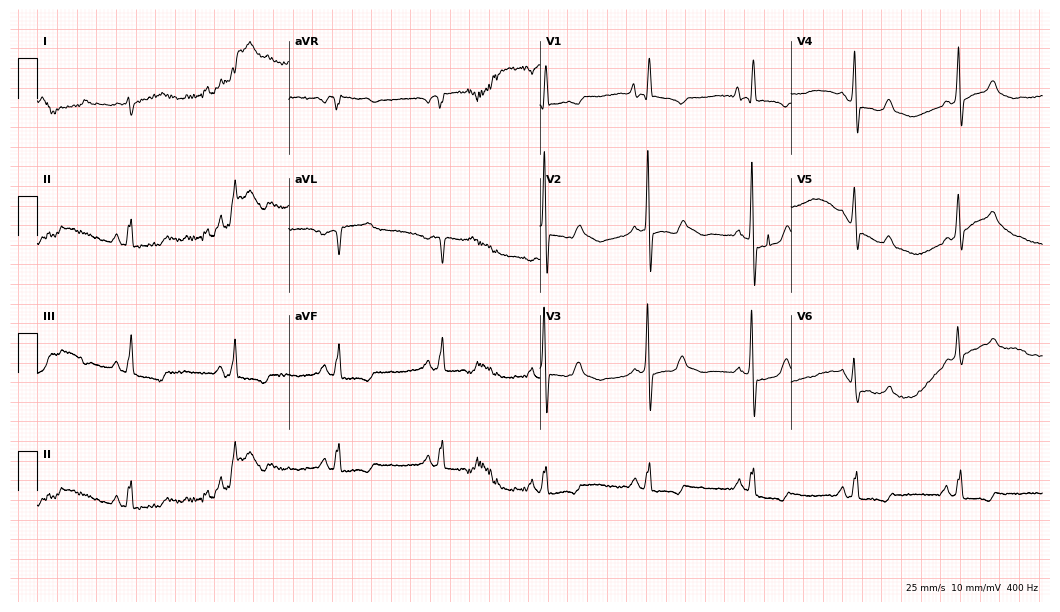
Electrocardiogram, a male patient, 72 years old. Of the six screened findings (first-degree AV block, right bundle branch block, left bundle branch block, sinus bradycardia, atrial fibrillation, sinus tachycardia), none is recorded.